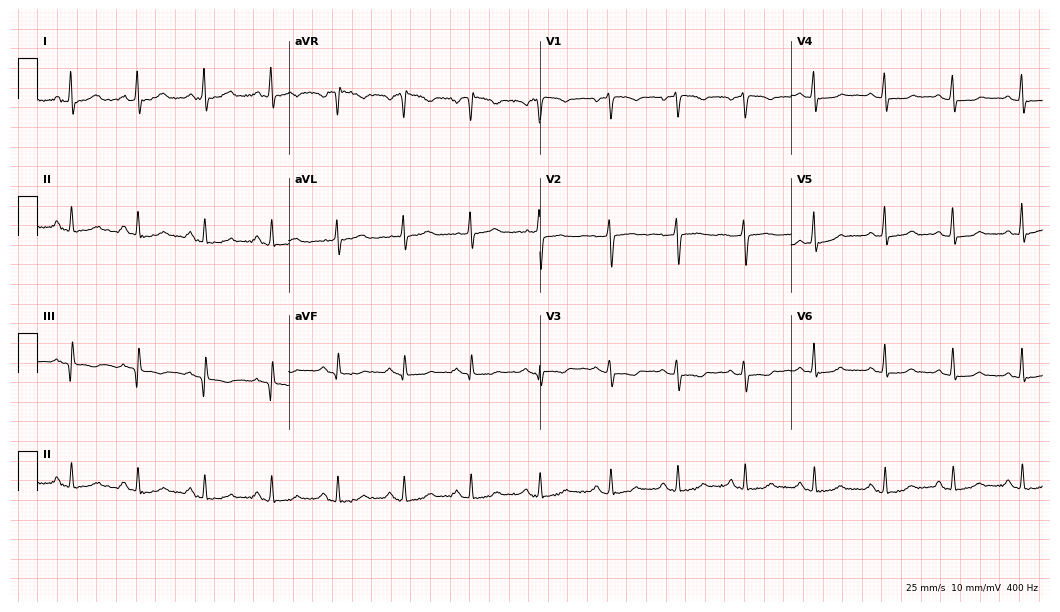
12-lead ECG (10.2-second recording at 400 Hz) from a female, 52 years old. Screened for six findings — first-degree AV block, right bundle branch block, left bundle branch block, sinus bradycardia, atrial fibrillation, sinus tachycardia — none is recorded.